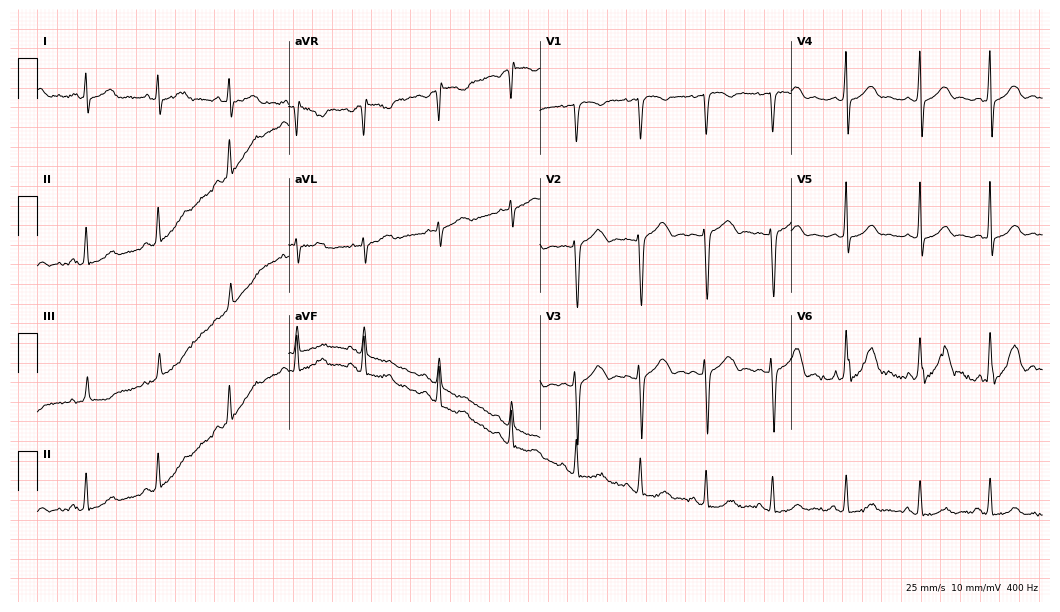
Standard 12-lead ECG recorded from a 22-year-old female patient (10.2-second recording at 400 Hz). Read as a normal ECG.